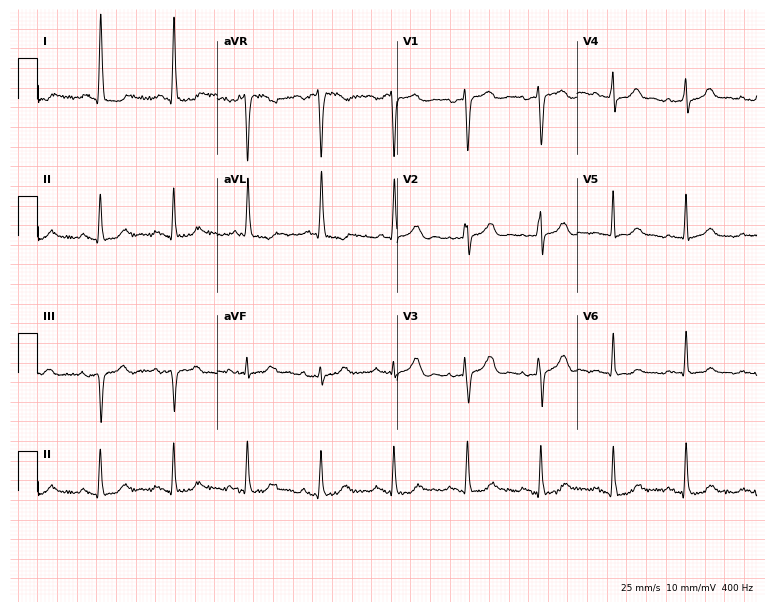
12-lead ECG from a female patient, 71 years old. Screened for six findings — first-degree AV block, right bundle branch block, left bundle branch block, sinus bradycardia, atrial fibrillation, sinus tachycardia — none is recorded.